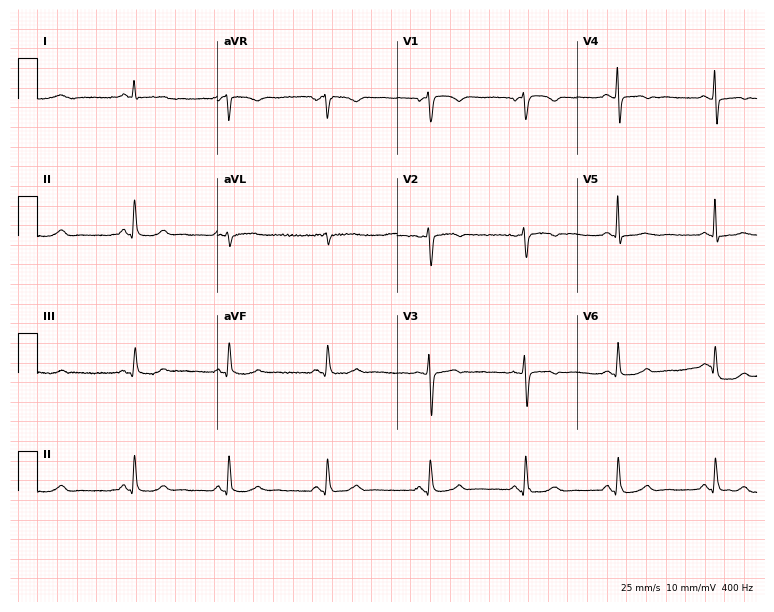
12-lead ECG from a 52-year-old female patient (7.3-second recording at 400 Hz). Recorded interpretation: within normal limits.